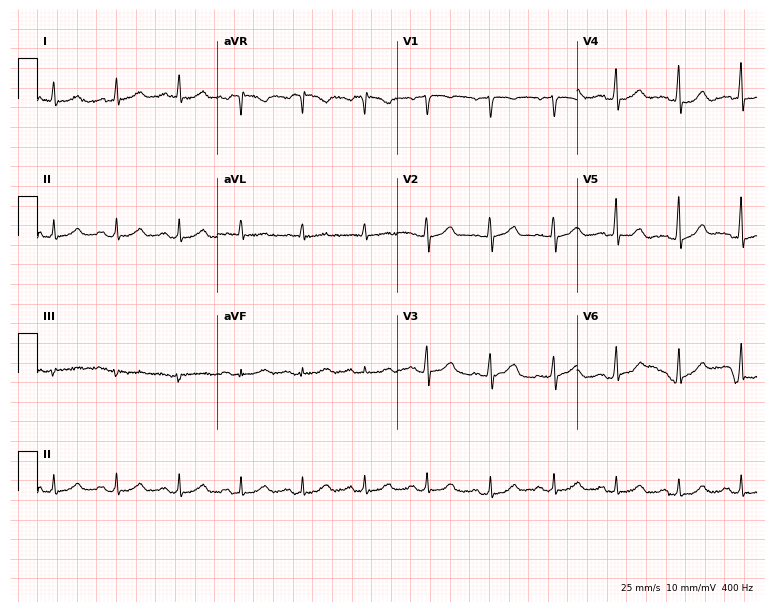
ECG (7.3-second recording at 400 Hz) — a 59-year-old female. Screened for six findings — first-degree AV block, right bundle branch block, left bundle branch block, sinus bradycardia, atrial fibrillation, sinus tachycardia — none is recorded. Other findings, if any, are not listed.